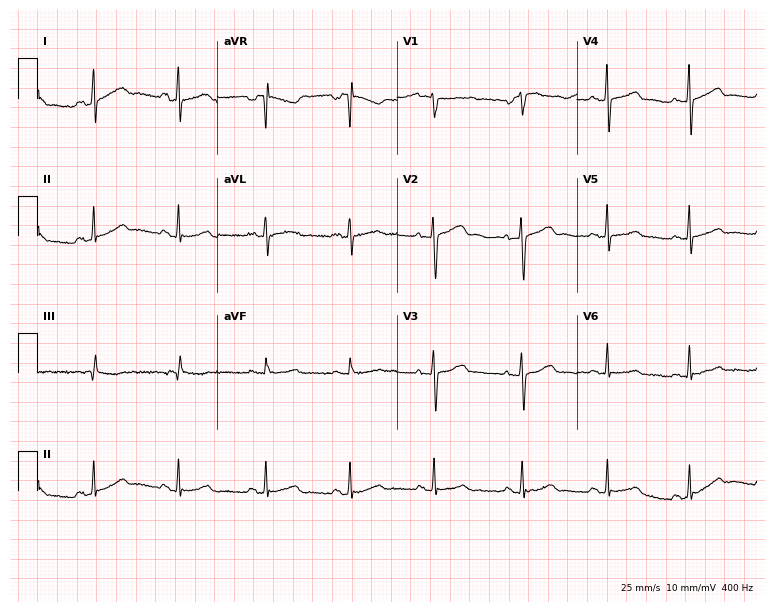
Resting 12-lead electrocardiogram. Patient: a woman, 37 years old. None of these six findings is recorded: first-degree AV block, right bundle branch block, left bundle branch block, sinus bradycardia, atrial fibrillation, sinus tachycardia. Findings outside these six are not listed.